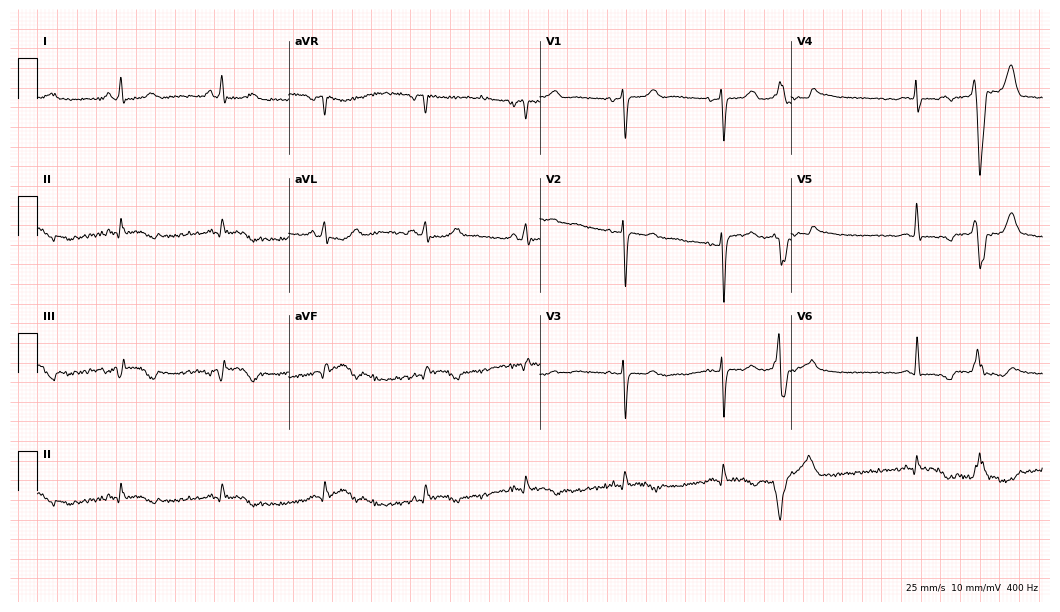
Standard 12-lead ECG recorded from a 55-year-old woman (10.2-second recording at 400 Hz). None of these six findings is recorded: first-degree AV block, right bundle branch block, left bundle branch block, sinus bradycardia, atrial fibrillation, sinus tachycardia.